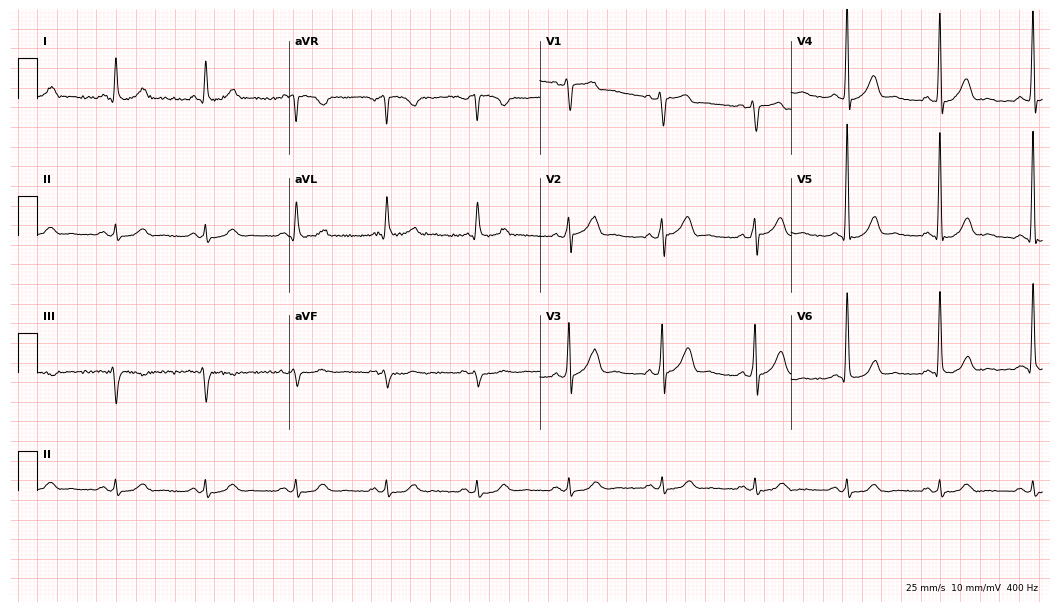
ECG — a man, 71 years old. Screened for six findings — first-degree AV block, right bundle branch block (RBBB), left bundle branch block (LBBB), sinus bradycardia, atrial fibrillation (AF), sinus tachycardia — none is recorded. Findings outside these six are not listed.